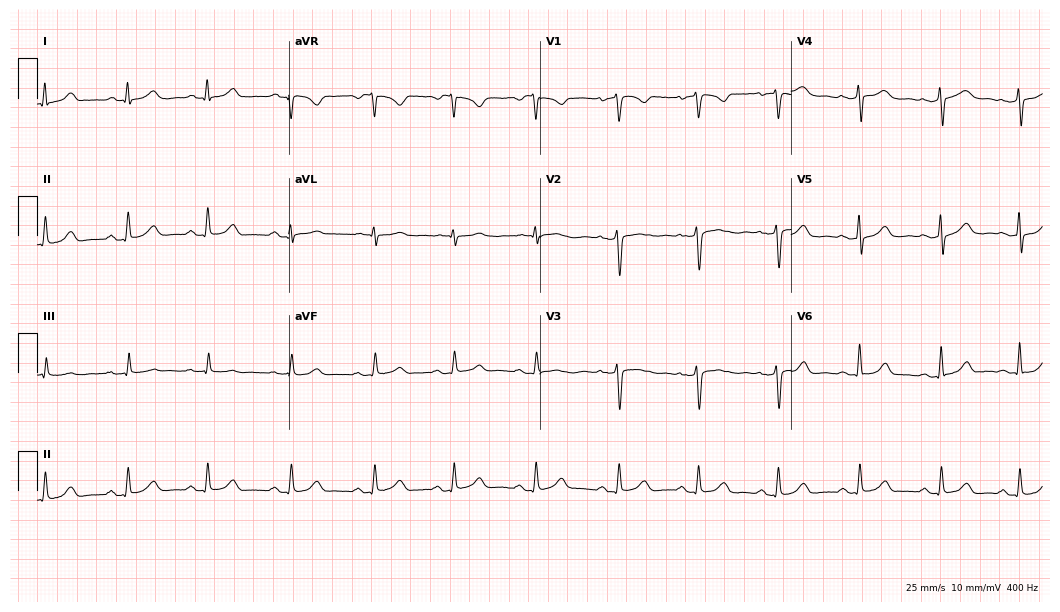
Electrocardiogram, a 38-year-old woman. Overall reading on record: normal ECG.